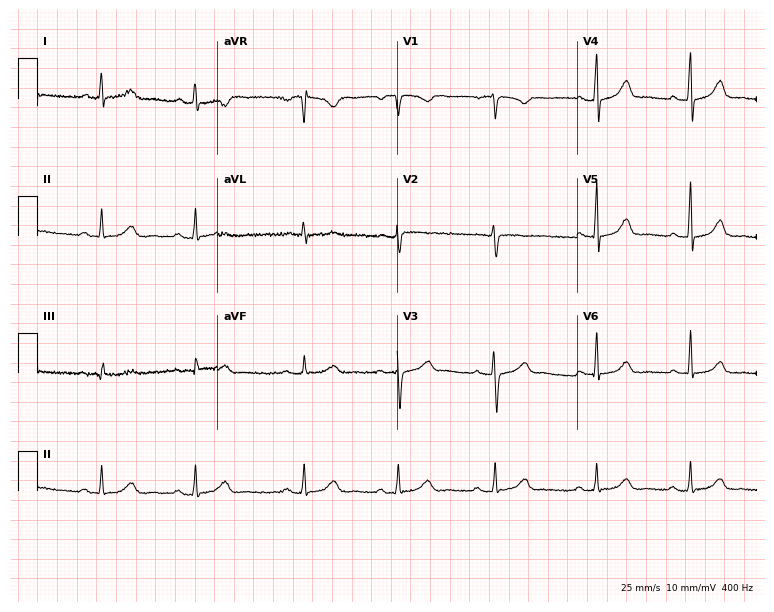
12-lead ECG (7.3-second recording at 400 Hz) from a 23-year-old female patient. Labelled as a normal ECG.